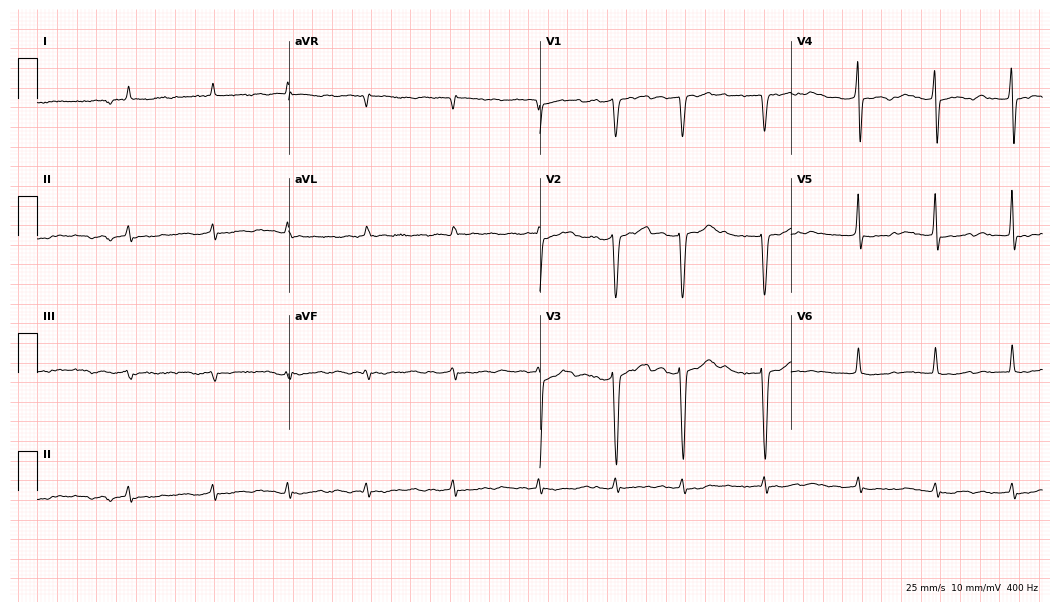
12-lead ECG from a male patient, 84 years old. Findings include atrial fibrillation.